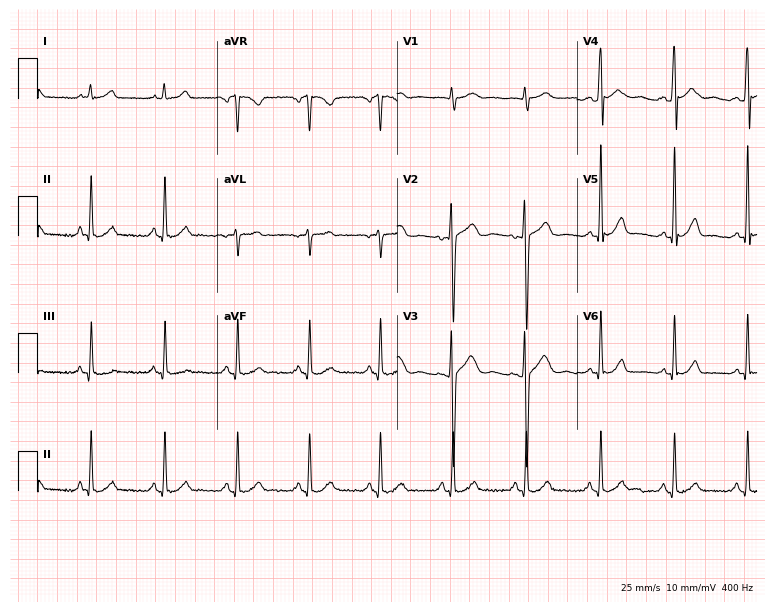
12-lead ECG (7.3-second recording at 400 Hz) from a male, 21 years old. Labelled as a normal ECG.